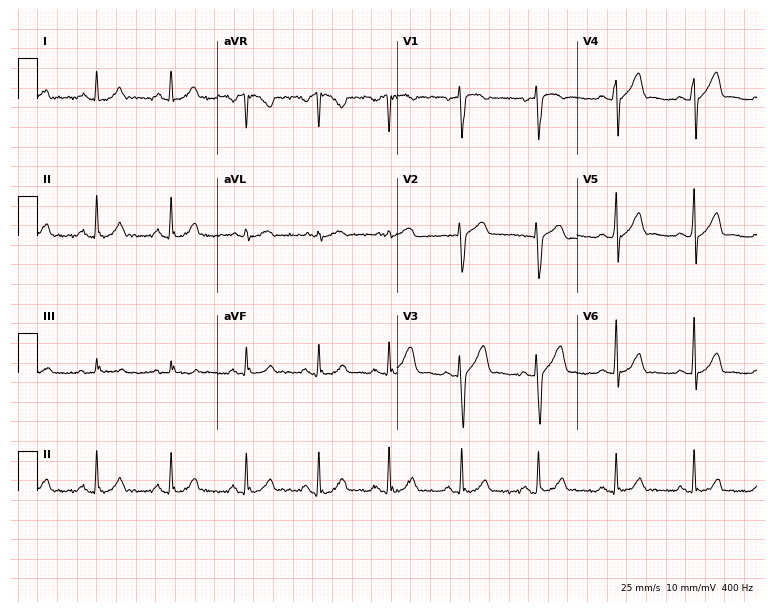
Electrocardiogram, a 31-year-old male. Of the six screened findings (first-degree AV block, right bundle branch block (RBBB), left bundle branch block (LBBB), sinus bradycardia, atrial fibrillation (AF), sinus tachycardia), none is recorded.